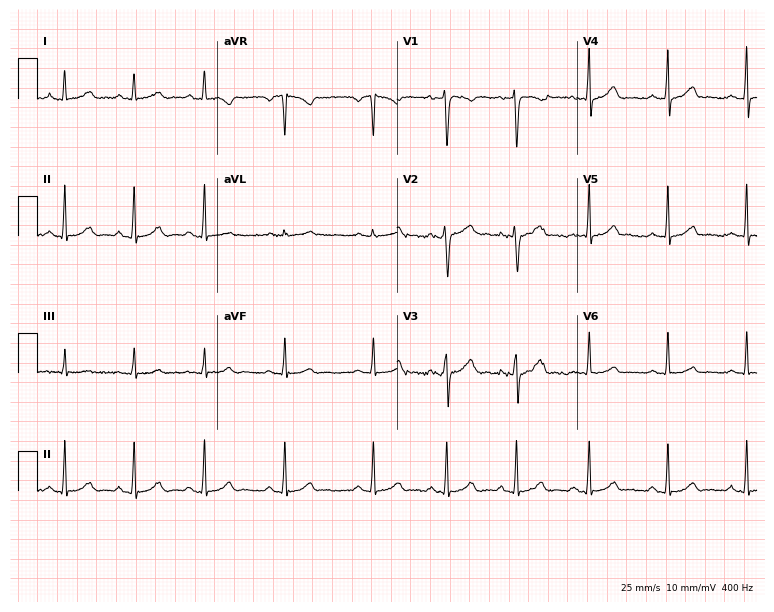
ECG — a 22-year-old woman. Labelled as a normal ECG.